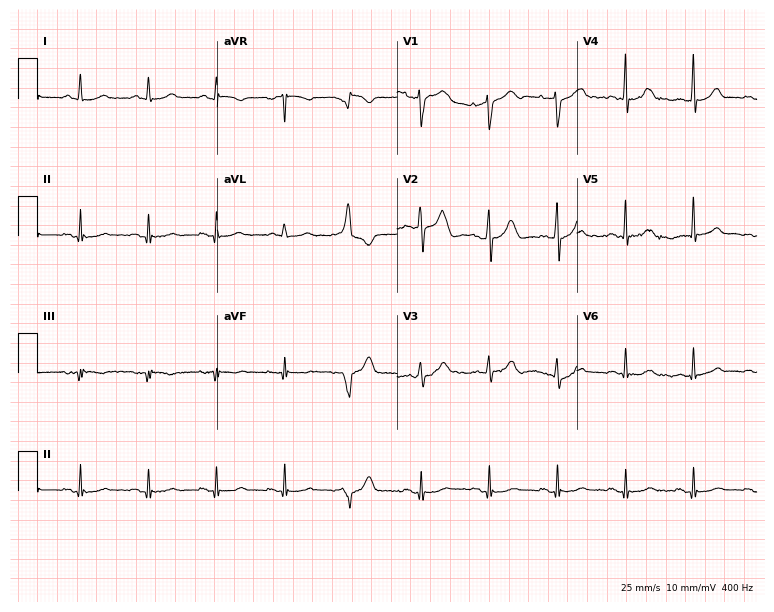
Resting 12-lead electrocardiogram (7.3-second recording at 400 Hz). Patient: an 81-year-old male. None of these six findings is recorded: first-degree AV block, right bundle branch block (RBBB), left bundle branch block (LBBB), sinus bradycardia, atrial fibrillation (AF), sinus tachycardia. Other findings, if any, are not listed.